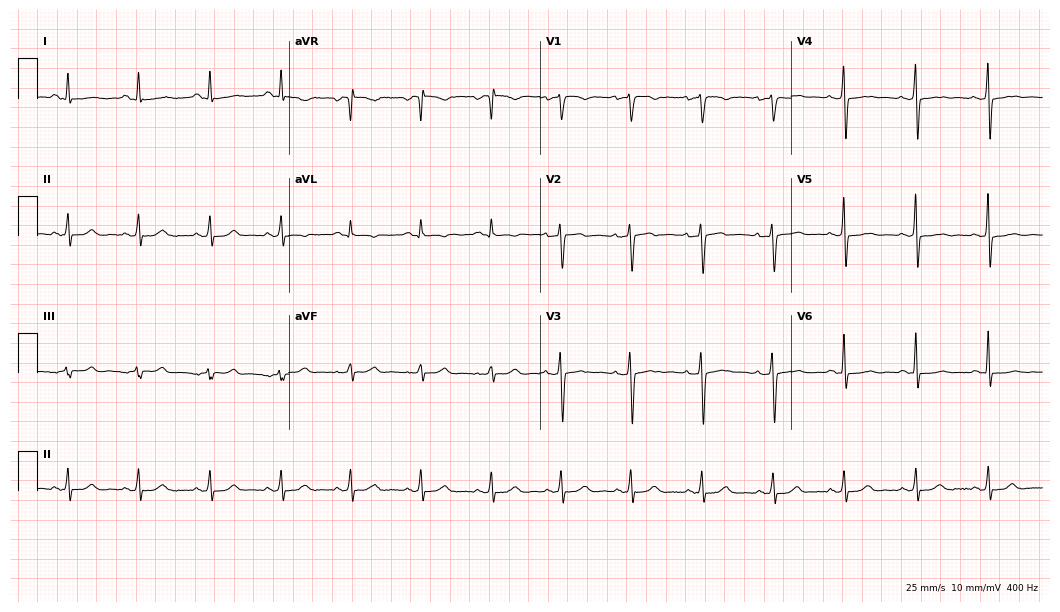
12-lead ECG (10.2-second recording at 400 Hz) from a 46-year-old female patient. Labelled as a normal ECG.